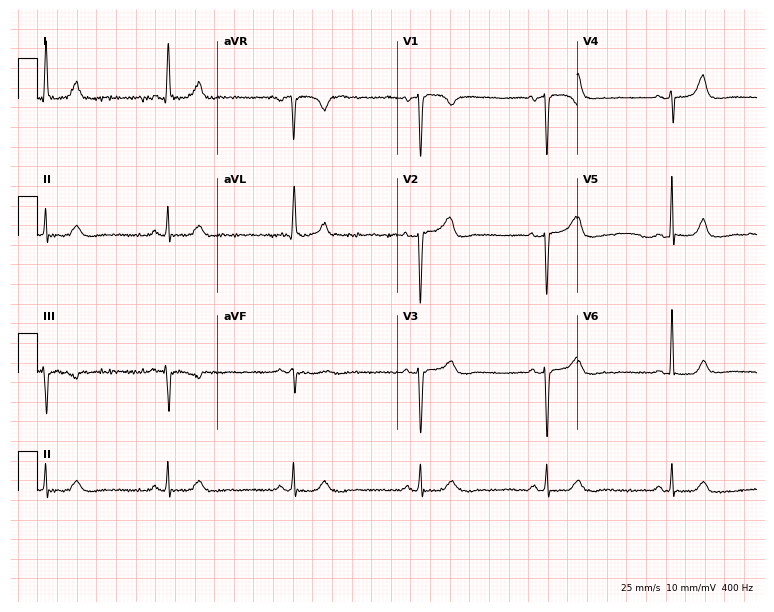
Electrocardiogram, a female patient, 64 years old. Interpretation includes sinus bradycardia (a sinus rate of 50 beats per minute or less).